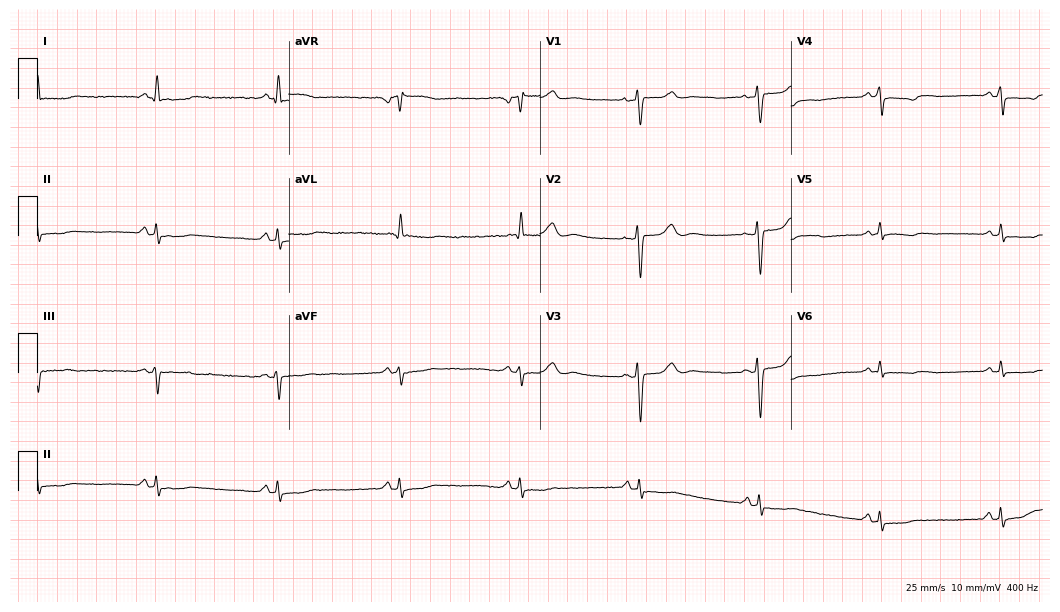
12-lead ECG from a female, 57 years old (10.2-second recording at 400 Hz). No first-degree AV block, right bundle branch block, left bundle branch block, sinus bradycardia, atrial fibrillation or sinus tachycardia recorded for this tracing. Other findings, if any, are not listed.